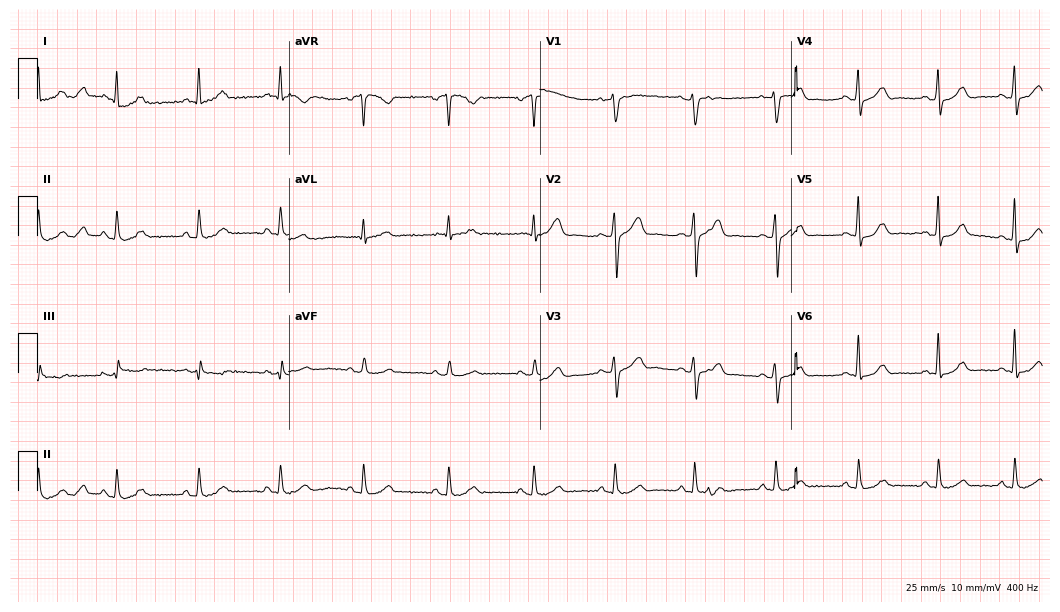
12-lead ECG (10.2-second recording at 400 Hz) from a male, 44 years old. Labelled as a normal ECG.